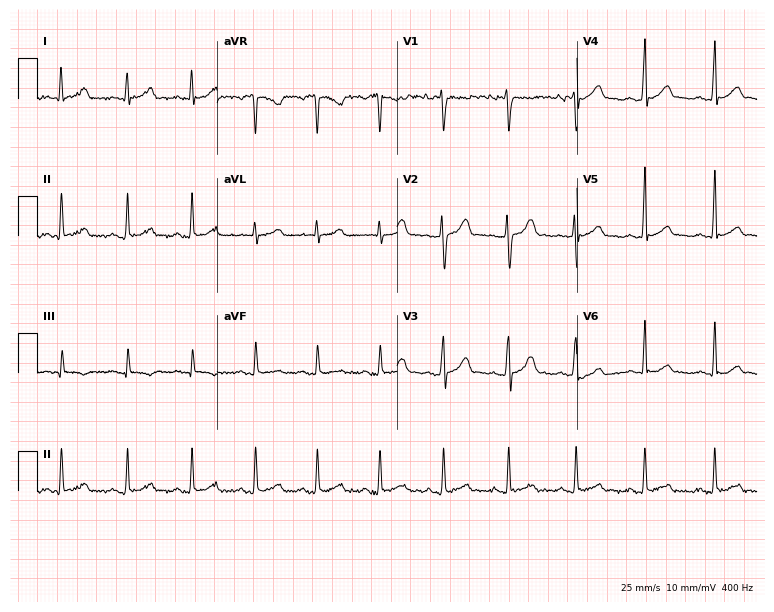
Resting 12-lead electrocardiogram. Patient: a 27-year-old male. Read as a normal ECG.